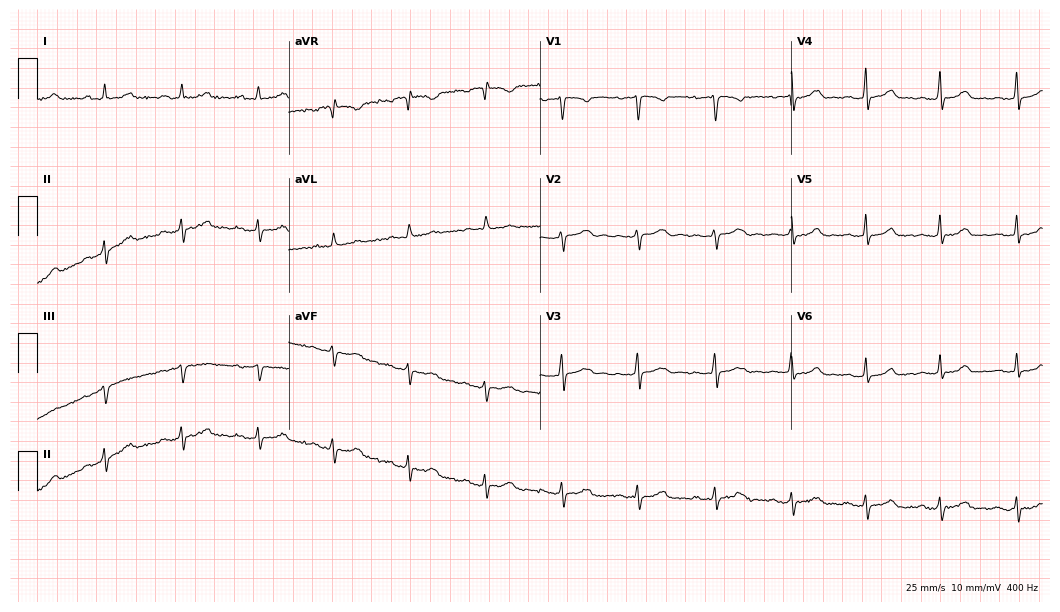
12-lead ECG from a 24-year-old female patient. Labelled as a normal ECG.